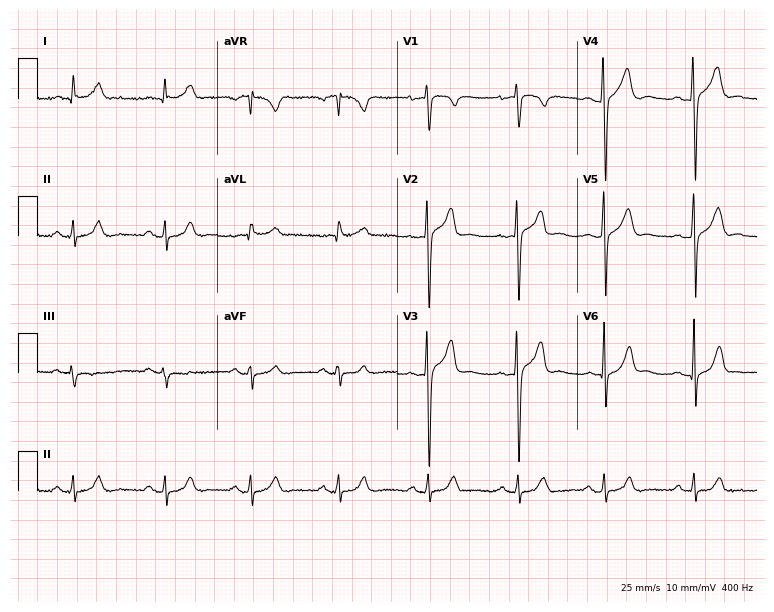
12-lead ECG from a man, 30 years old. Labelled as a normal ECG.